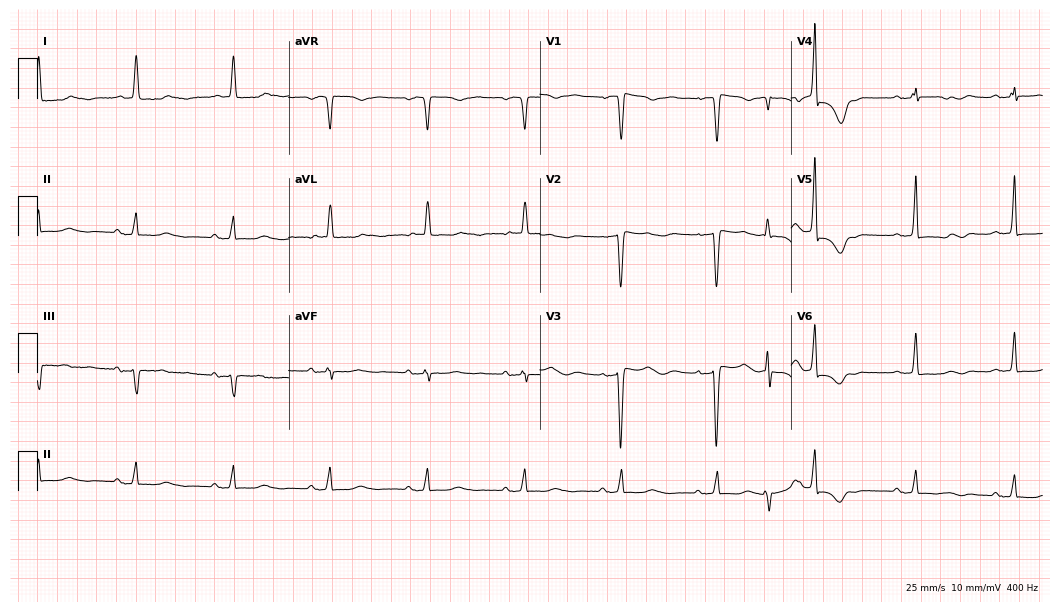
Resting 12-lead electrocardiogram (10.2-second recording at 400 Hz). Patient: a 73-year-old female. None of these six findings is recorded: first-degree AV block, right bundle branch block (RBBB), left bundle branch block (LBBB), sinus bradycardia, atrial fibrillation (AF), sinus tachycardia. Other findings, if any, are not listed.